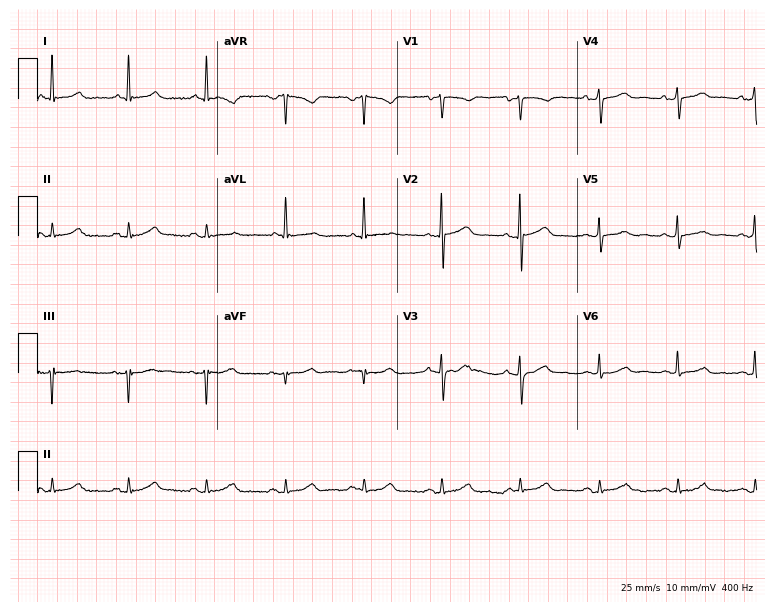
12-lead ECG (7.3-second recording at 400 Hz) from a female patient, 62 years old. Labelled as a normal ECG.